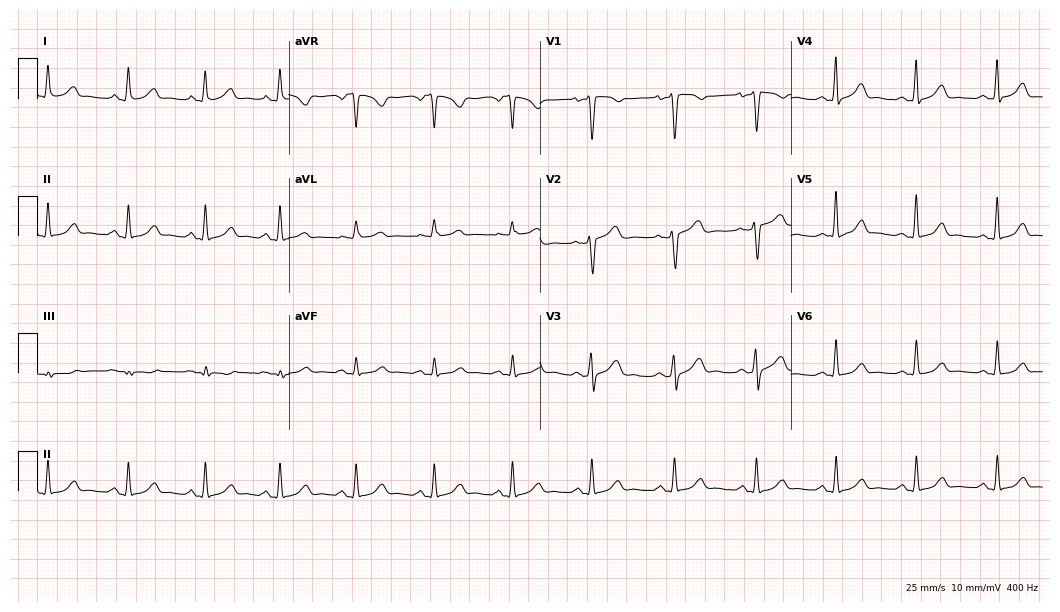
Electrocardiogram, a 38-year-old woman. Overall reading on record: normal ECG.